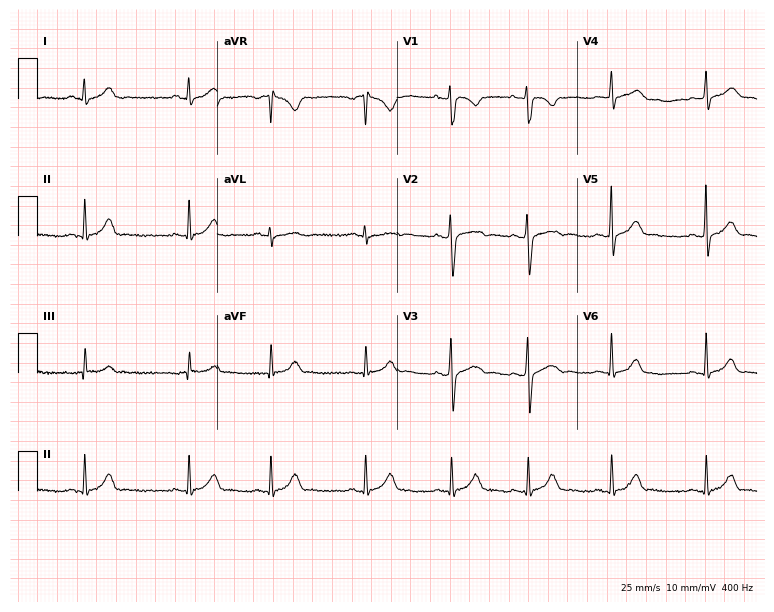
Electrocardiogram (7.3-second recording at 400 Hz), a 17-year-old female patient. Overall reading on record: normal ECG.